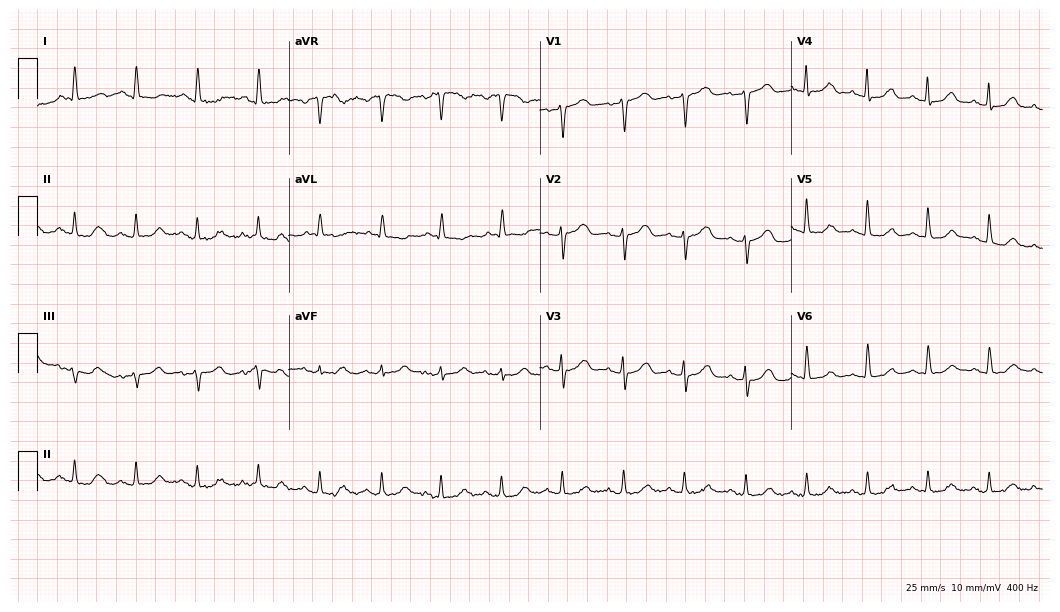
ECG (10.2-second recording at 400 Hz) — a woman, 79 years old. Screened for six findings — first-degree AV block, right bundle branch block (RBBB), left bundle branch block (LBBB), sinus bradycardia, atrial fibrillation (AF), sinus tachycardia — none is recorded.